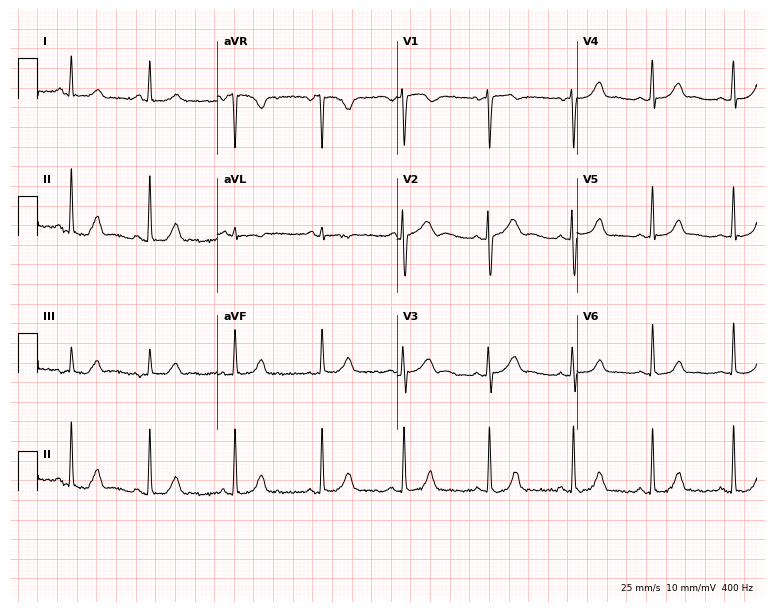
Electrocardiogram, a female, 24 years old. Overall reading on record: normal ECG.